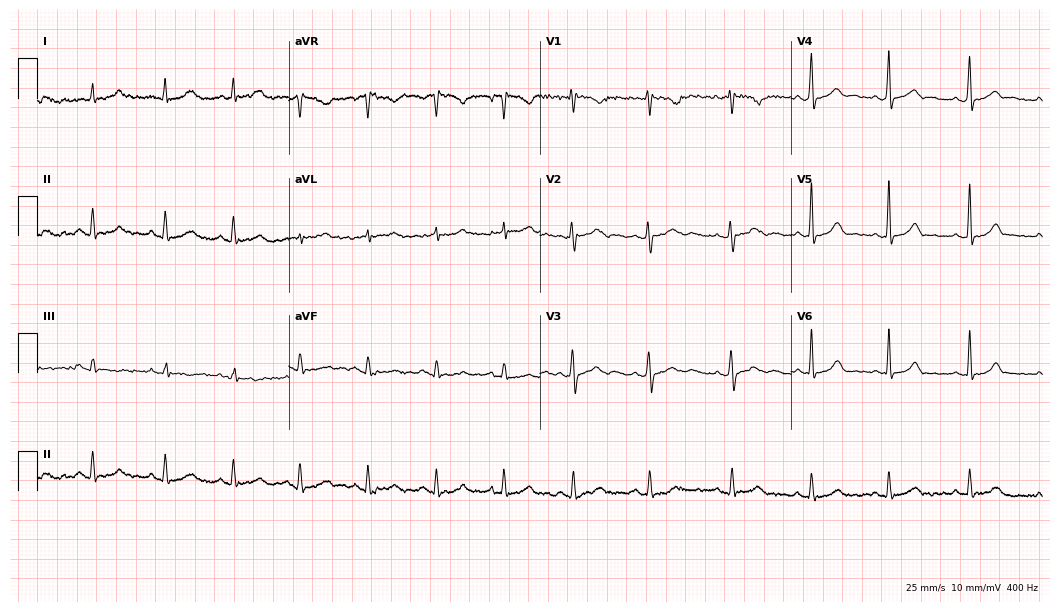
Resting 12-lead electrocardiogram. Patient: a 23-year-old female. Read as a normal ECG.